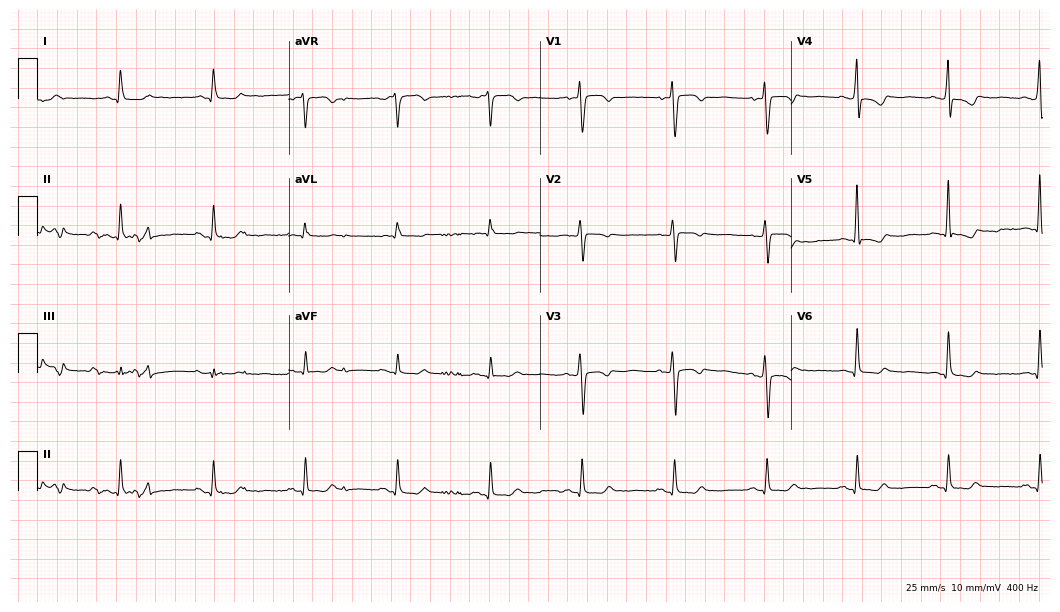
Standard 12-lead ECG recorded from a female patient, 59 years old. None of these six findings is recorded: first-degree AV block, right bundle branch block (RBBB), left bundle branch block (LBBB), sinus bradycardia, atrial fibrillation (AF), sinus tachycardia. Findings outside these six are not listed.